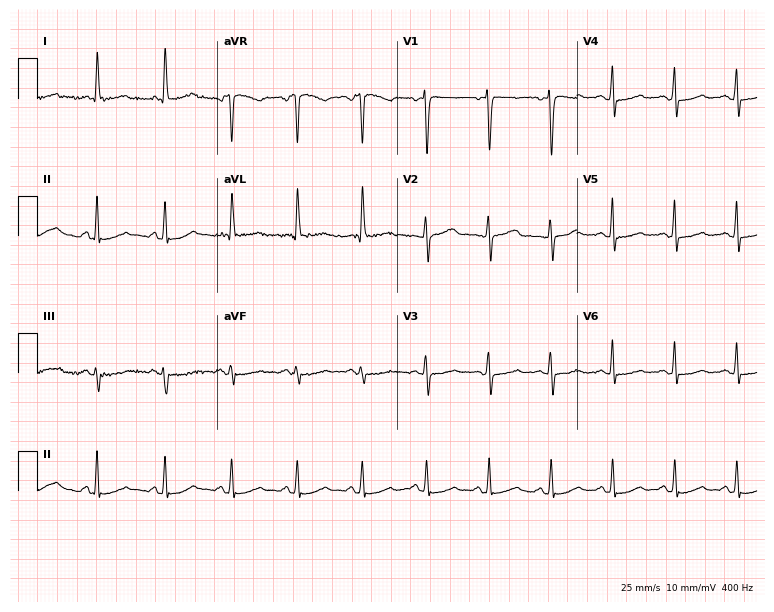
Resting 12-lead electrocardiogram (7.3-second recording at 400 Hz). Patient: a female, 52 years old. Read as a normal ECG.